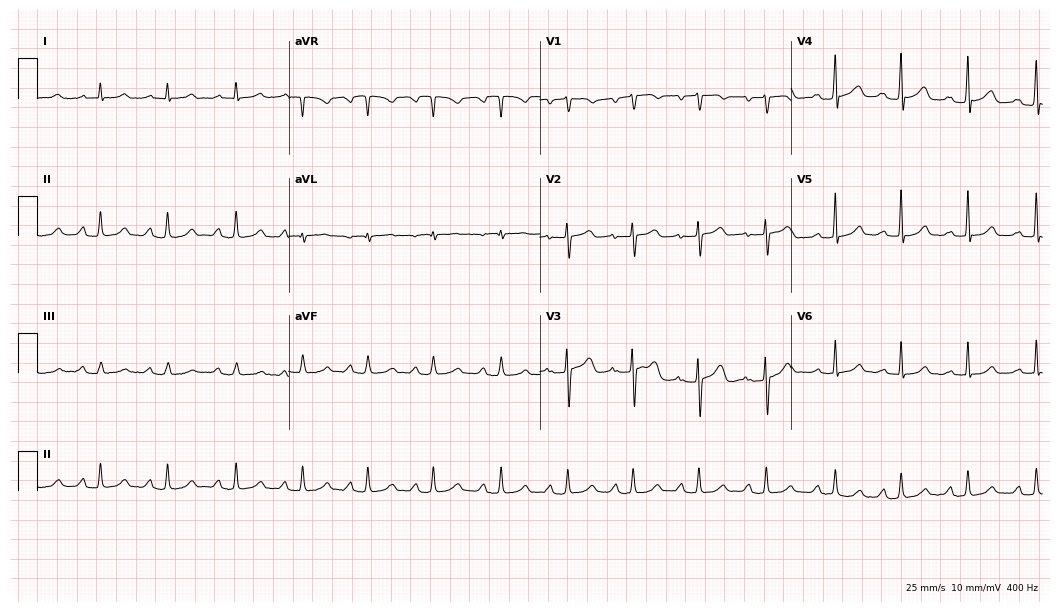
Standard 12-lead ECG recorded from a 48-year-old woman (10.2-second recording at 400 Hz). The tracing shows first-degree AV block.